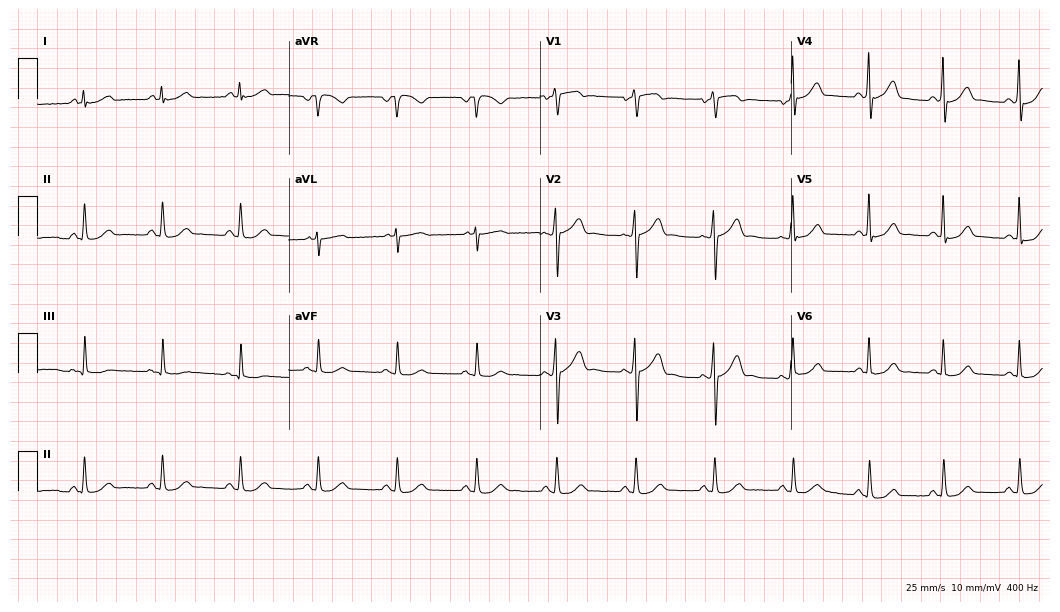
Resting 12-lead electrocardiogram. Patient: a man, 54 years old. Read as a normal ECG.